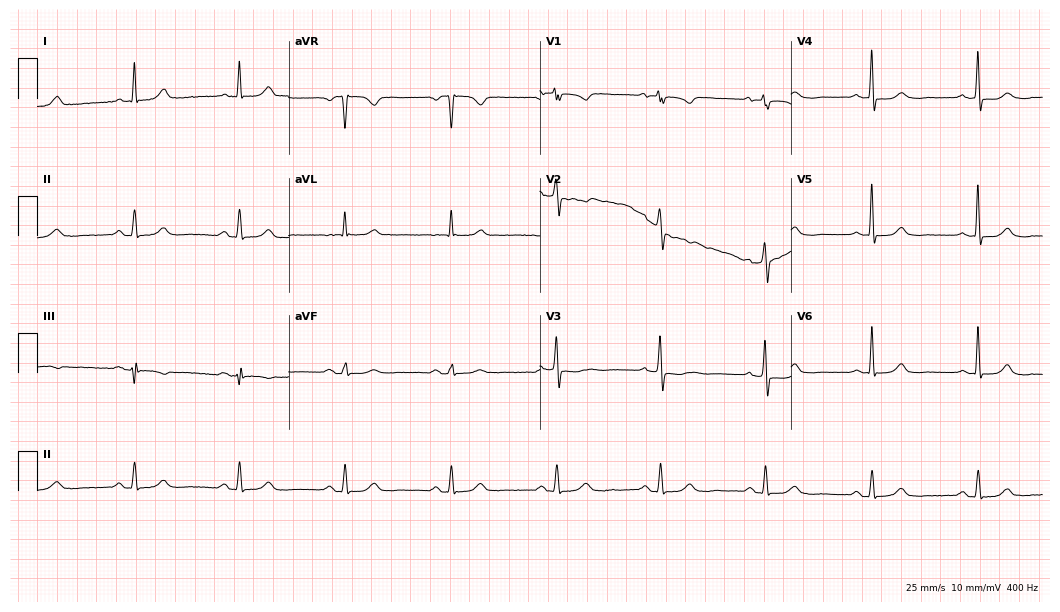
ECG — a female, 84 years old. Screened for six findings — first-degree AV block, right bundle branch block (RBBB), left bundle branch block (LBBB), sinus bradycardia, atrial fibrillation (AF), sinus tachycardia — none is recorded. Other findings, if any, are not listed.